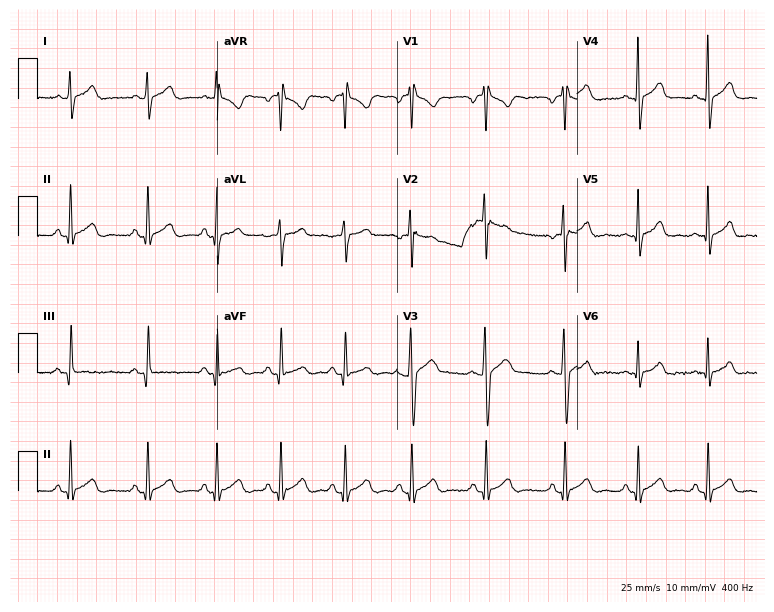
Resting 12-lead electrocardiogram (7.3-second recording at 400 Hz). Patient: a man, 17 years old. None of these six findings is recorded: first-degree AV block, right bundle branch block (RBBB), left bundle branch block (LBBB), sinus bradycardia, atrial fibrillation (AF), sinus tachycardia.